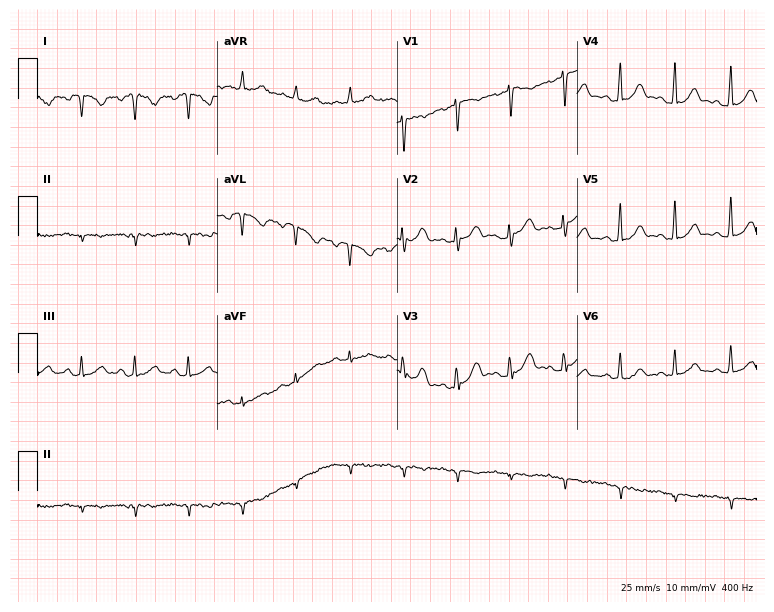
Electrocardiogram, a 34-year-old female. Of the six screened findings (first-degree AV block, right bundle branch block, left bundle branch block, sinus bradycardia, atrial fibrillation, sinus tachycardia), none is recorded. Other findings, if any, are not listed.